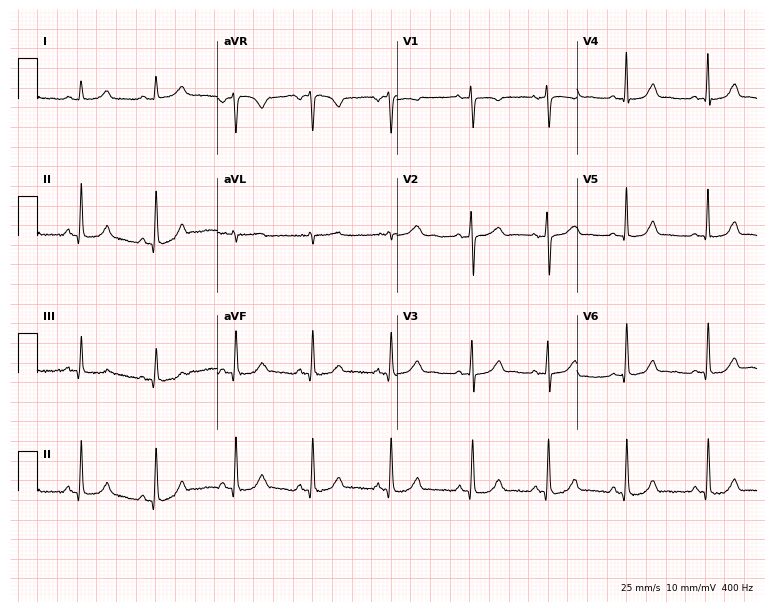
Standard 12-lead ECG recorded from a female, 31 years old (7.3-second recording at 400 Hz). Read as a normal ECG.